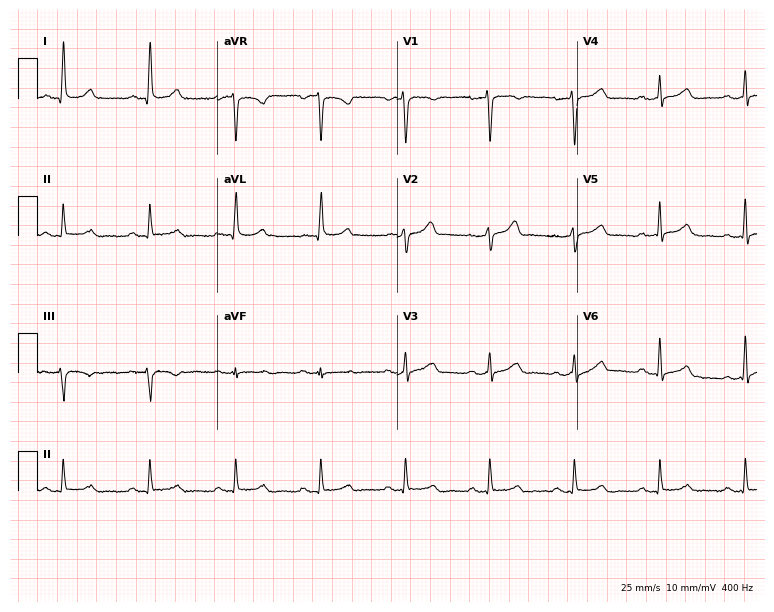
12-lead ECG from a male patient, 40 years old. Labelled as a normal ECG.